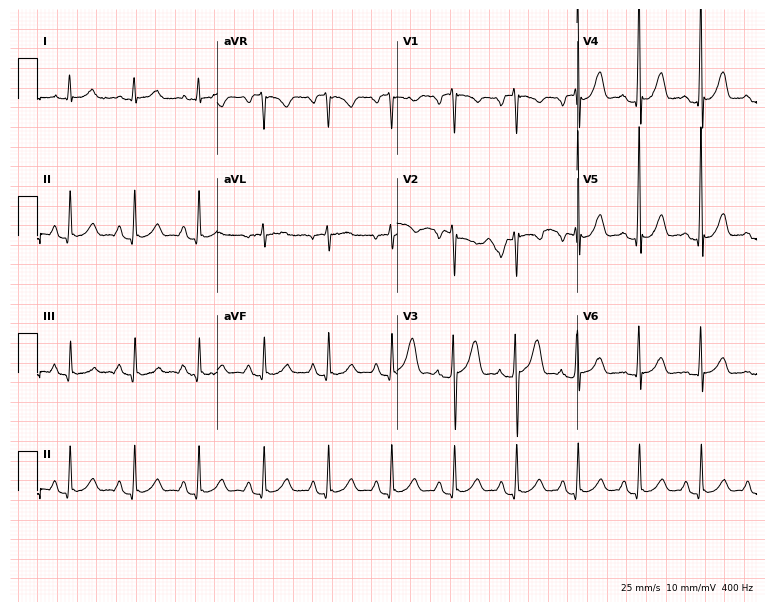
Electrocardiogram, a male, 39 years old. Overall reading on record: normal ECG.